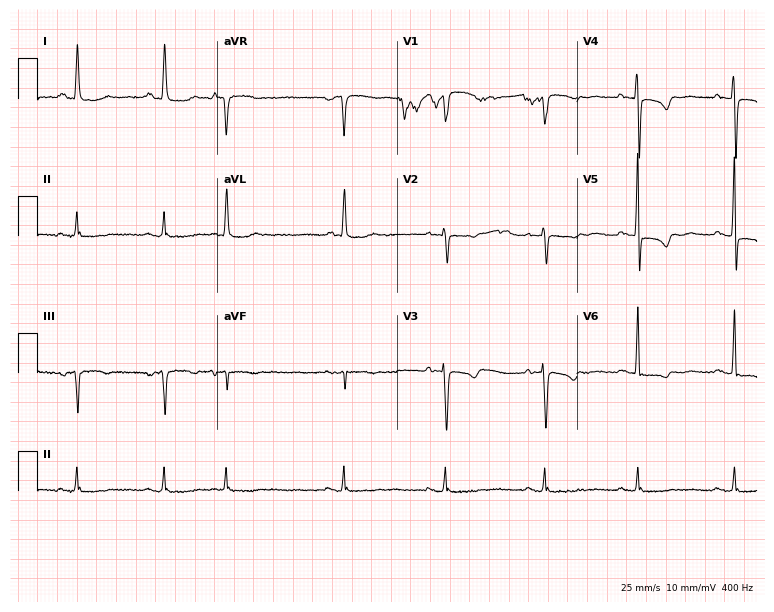
12-lead ECG from a 79-year-old female patient (7.3-second recording at 400 Hz). No first-degree AV block, right bundle branch block, left bundle branch block, sinus bradycardia, atrial fibrillation or sinus tachycardia recorded for this tracing. Findings outside these six are not listed.